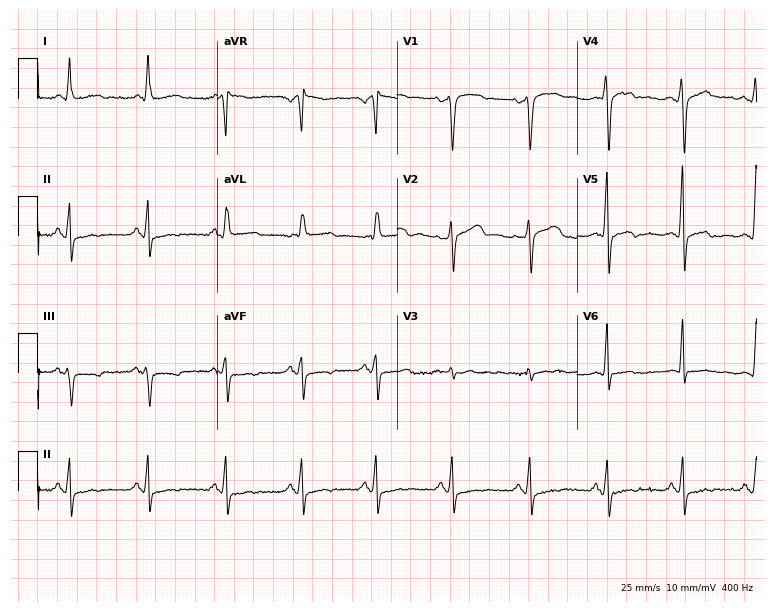
Electrocardiogram (7.3-second recording at 400 Hz), a 56-year-old female. Of the six screened findings (first-degree AV block, right bundle branch block, left bundle branch block, sinus bradycardia, atrial fibrillation, sinus tachycardia), none is recorded. Findings outside these six are not listed.